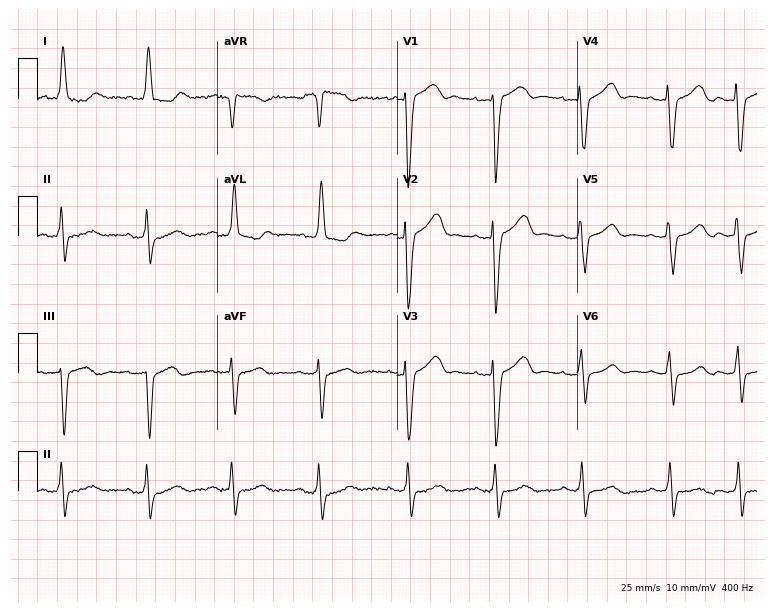
Resting 12-lead electrocardiogram. Patient: a female, 83 years old. The tracing shows left bundle branch block.